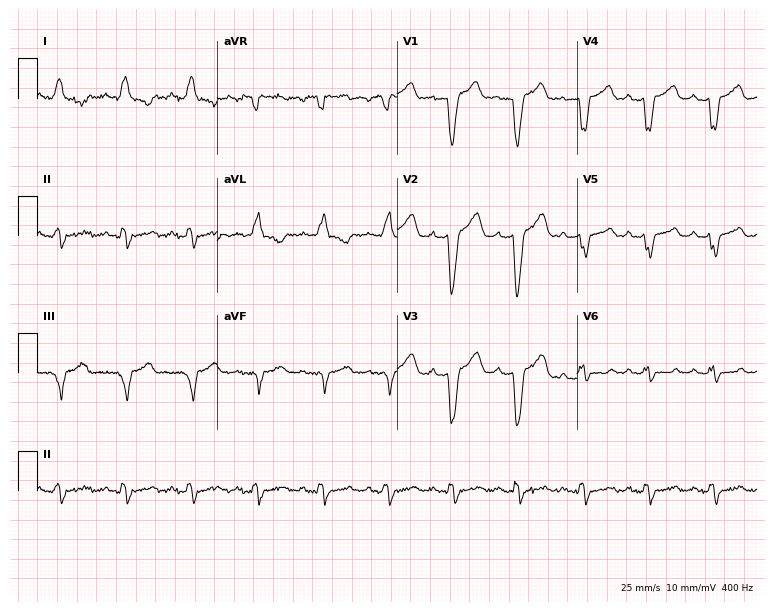
12-lead ECG from a man, 77 years old. Shows left bundle branch block.